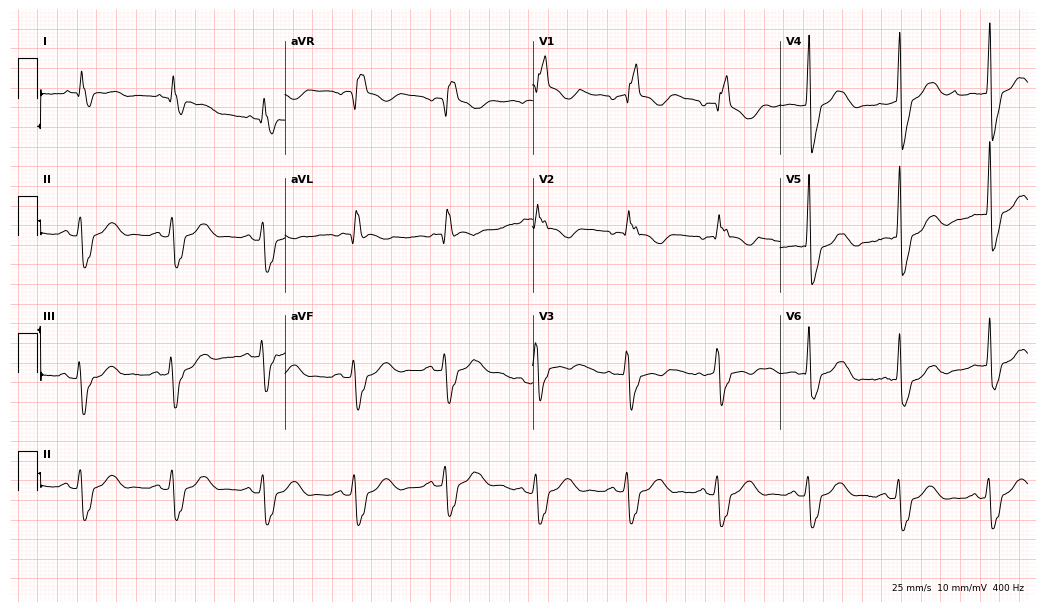
Electrocardiogram (10.1-second recording at 400 Hz), a male, 54 years old. Interpretation includes right bundle branch block (RBBB).